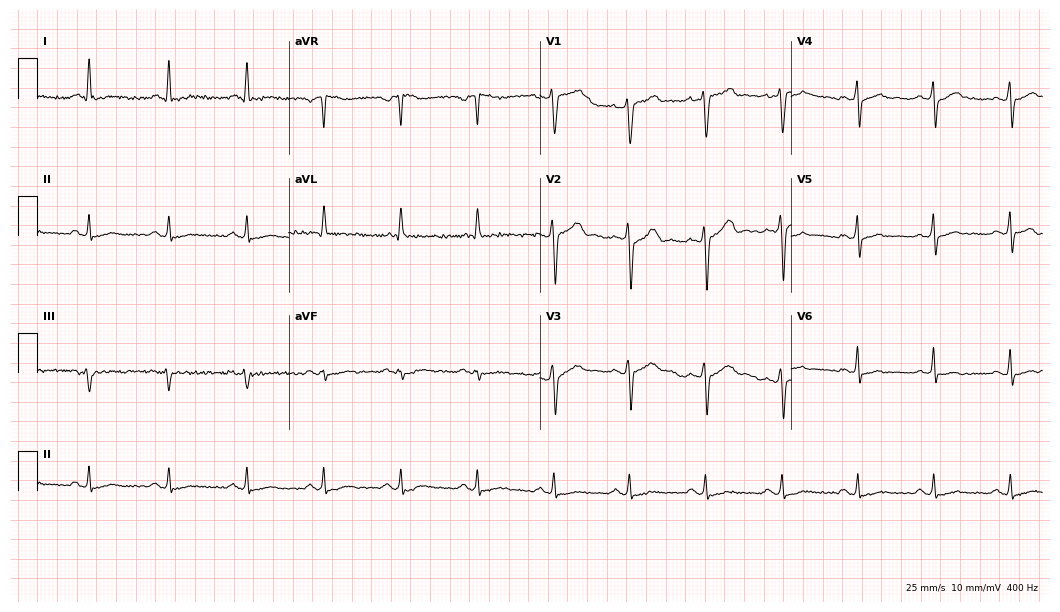
Electrocardiogram (10.2-second recording at 400 Hz), a man, 45 years old. Of the six screened findings (first-degree AV block, right bundle branch block, left bundle branch block, sinus bradycardia, atrial fibrillation, sinus tachycardia), none is recorded.